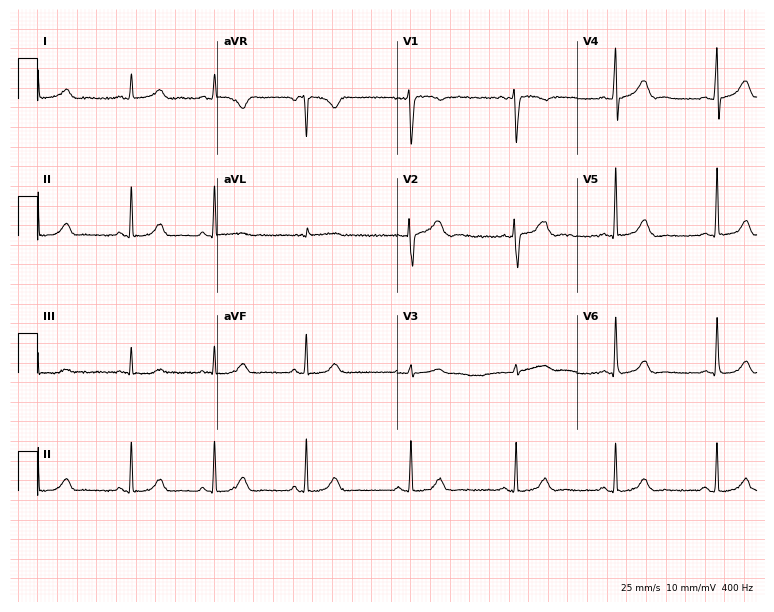
Standard 12-lead ECG recorded from a female patient, 30 years old (7.3-second recording at 400 Hz). Read as a normal ECG.